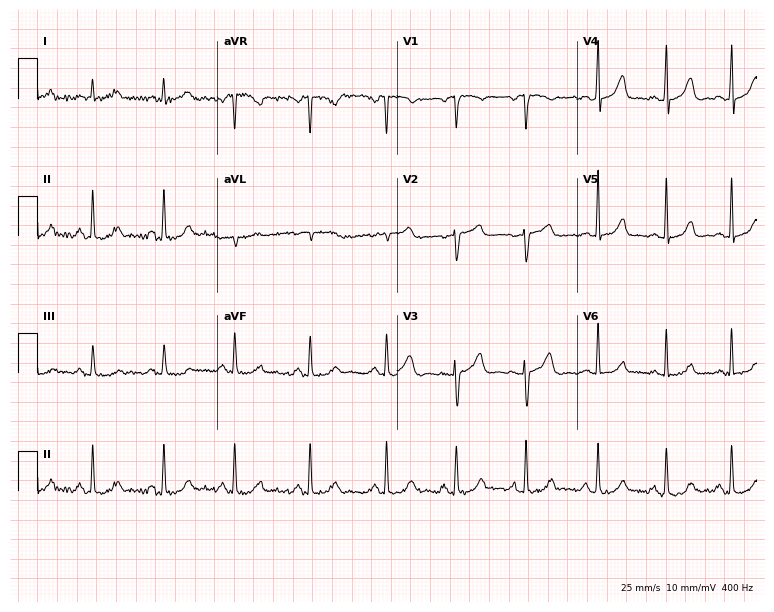
12-lead ECG (7.3-second recording at 400 Hz) from a woman, 29 years old. Labelled as a normal ECG.